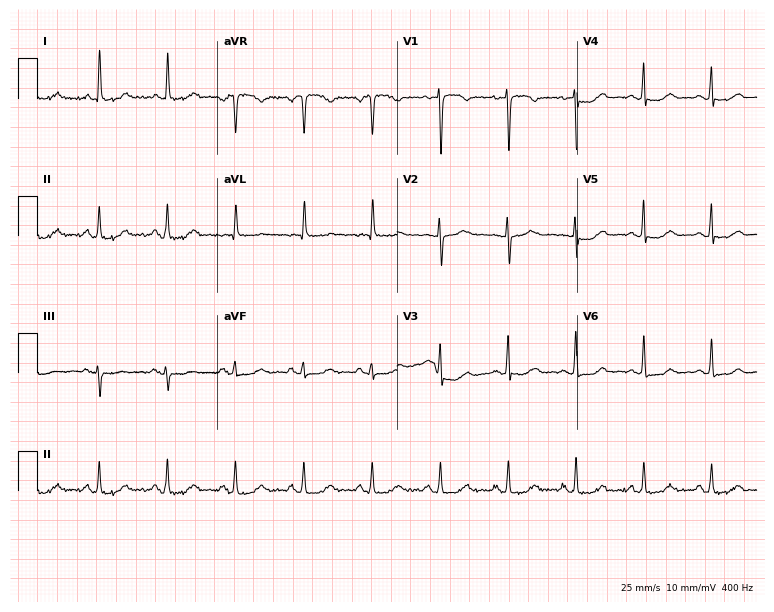
12-lead ECG from a female patient, 78 years old (7.3-second recording at 400 Hz). Recorded interpretation: within normal limits.